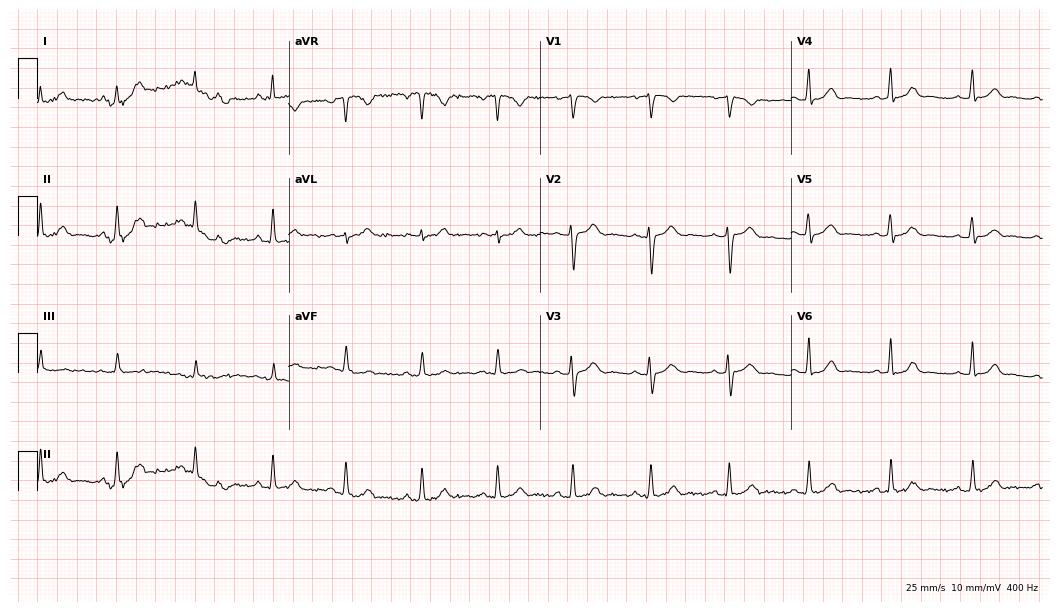
Standard 12-lead ECG recorded from a 27-year-old female (10.2-second recording at 400 Hz). None of these six findings is recorded: first-degree AV block, right bundle branch block, left bundle branch block, sinus bradycardia, atrial fibrillation, sinus tachycardia. Only these six findings were labelled.